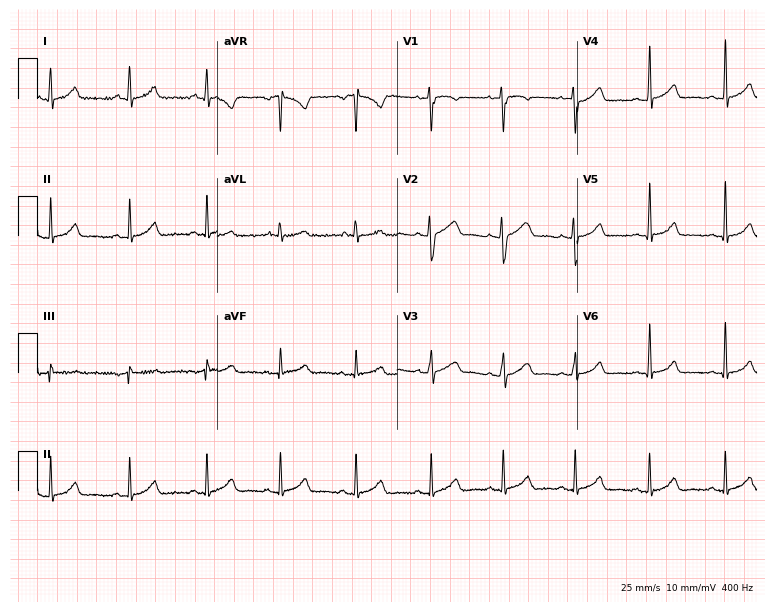
12-lead ECG from a female, 29 years old. Recorded interpretation: within normal limits.